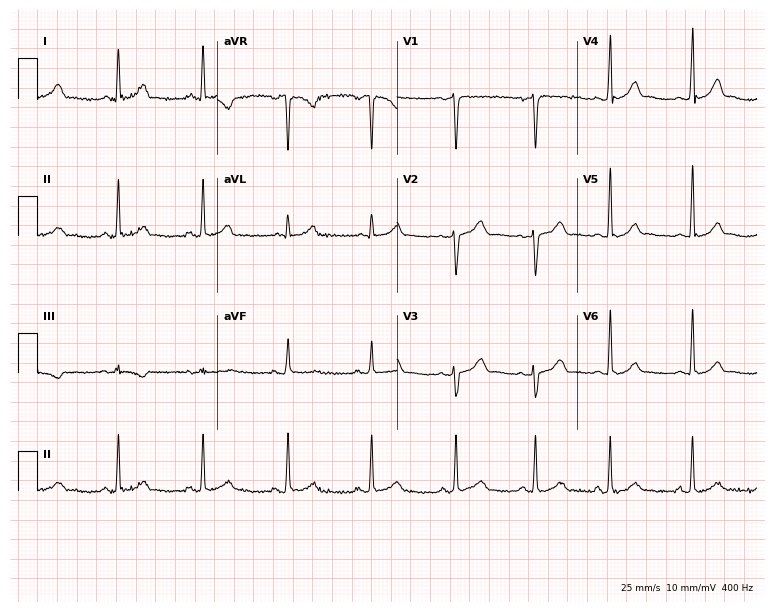
Resting 12-lead electrocardiogram (7.3-second recording at 400 Hz). Patient: a 33-year-old woman. None of these six findings is recorded: first-degree AV block, right bundle branch block (RBBB), left bundle branch block (LBBB), sinus bradycardia, atrial fibrillation (AF), sinus tachycardia. Other findings, if any, are not listed.